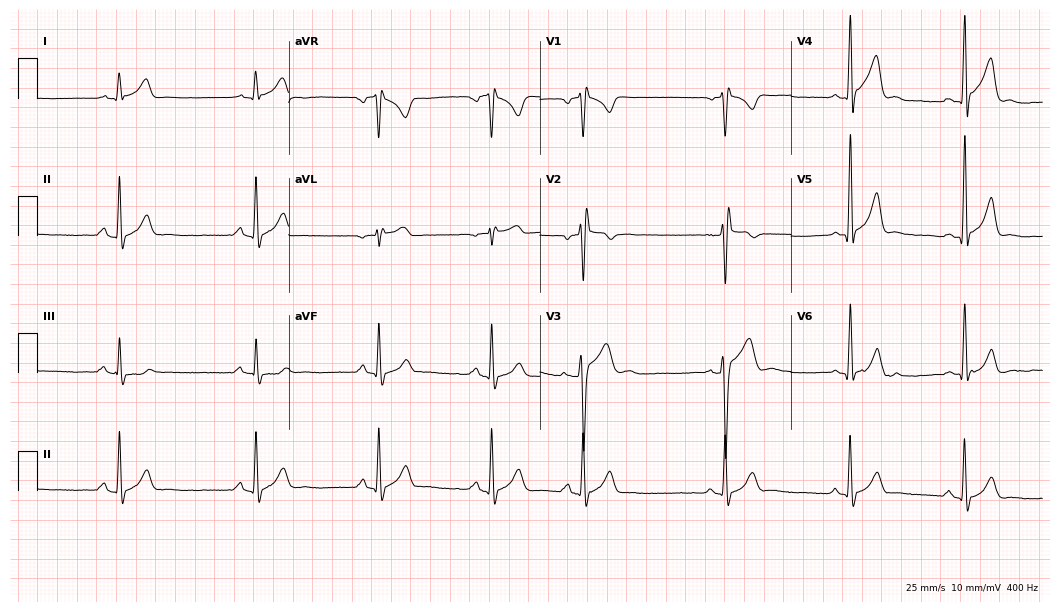
12-lead ECG (10.2-second recording at 400 Hz) from a male, 22 years old. Screened for six findings — first-degree AV block, right bundle branch block (RBBB), left bundle branch block (LBBB), sinus bradycardia, atrial fibrillation (AF), sinus tachycardia — none is recorded.